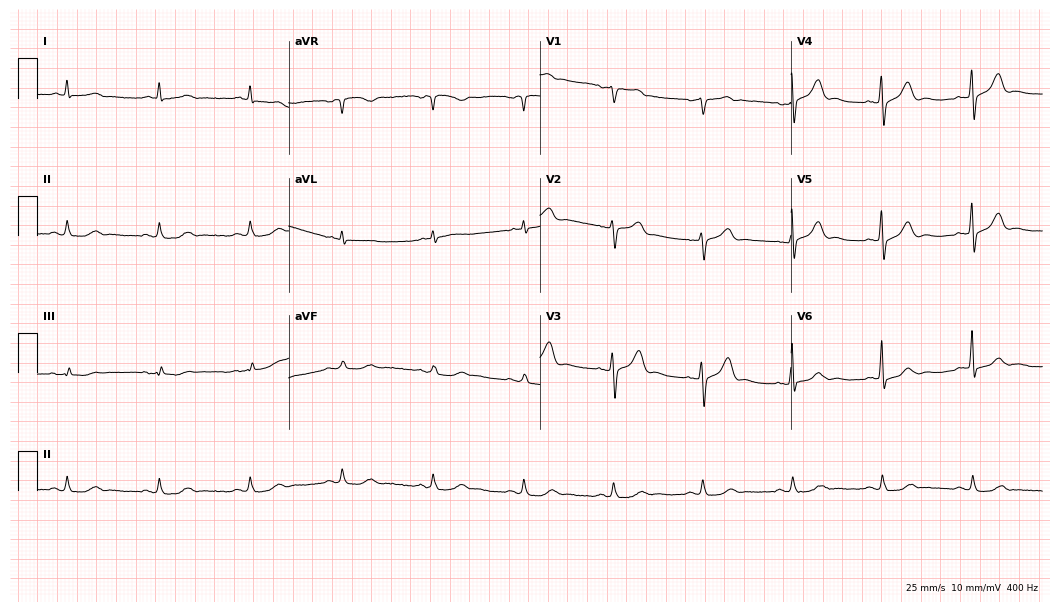
Resting 12-lead electrocardiogram. Patient: a 79-year-old man. Read as a normal ECG.